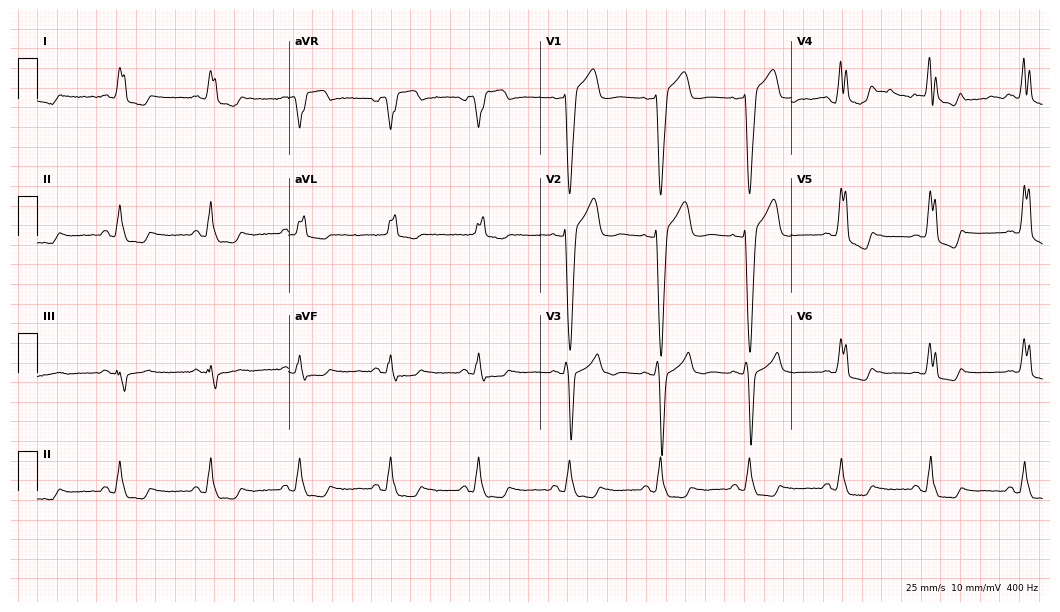
Resting 12-lead electrocardiogram. Patient: a 72-year-old female. The tracing shows left bundle branch block (LBBB).